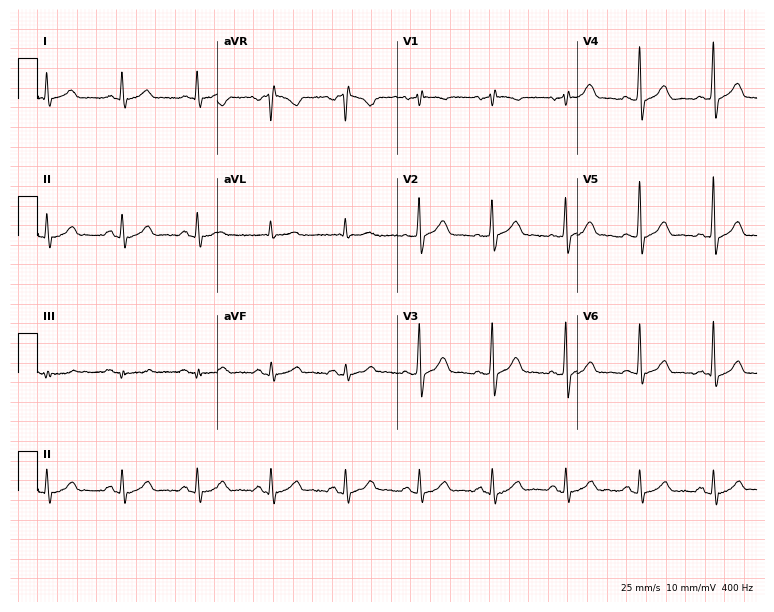
Electrocardiogram, a 67-year-old male patient. Overall reading on record: normal ECG.